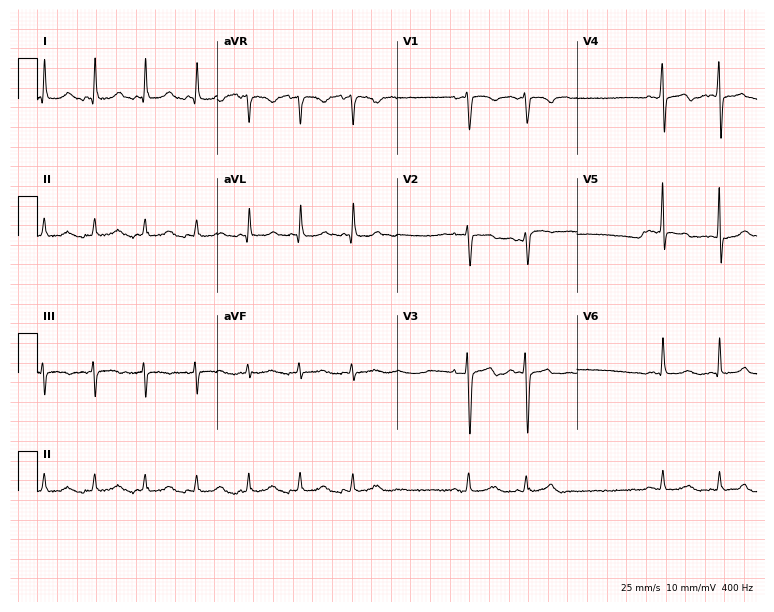
Standard 12-lead ECG recorded from a 54-year-old female patient. Read as a normal ECG.